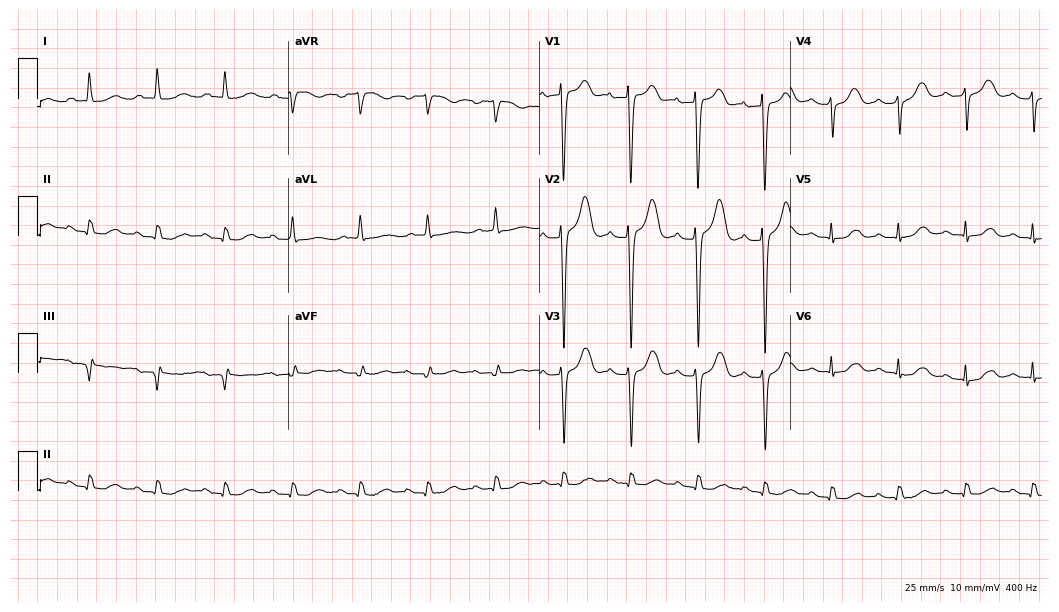
ECG (10.2-second recording at 400 Hz) — a female patient, 82 years old. Findings include first-degree AV block.